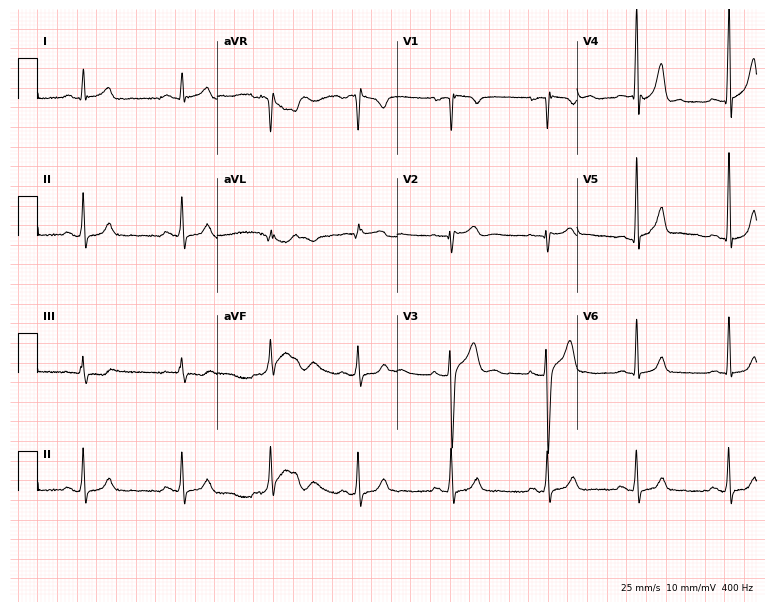
ECG — a 22-year-old man. Screened for six findings — first-degree AV block, right bundle branch block, left bundle branch block, sinus bradycardia, atrial fibrillation, sinus tachycardia — none is recorded. Other findings, if any, are not listed.